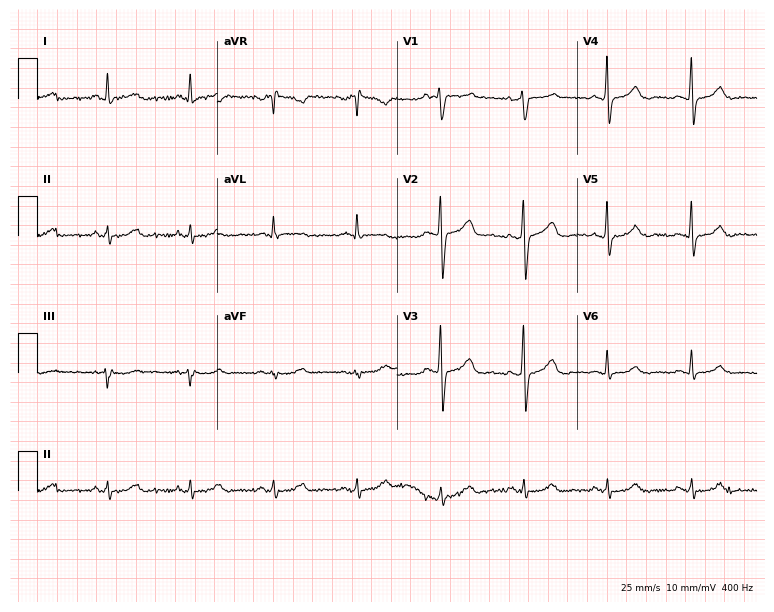
ECG (7.3-second recording at 400 Hz) — a female patient, 52 years old. Labelled as a normal ECG.